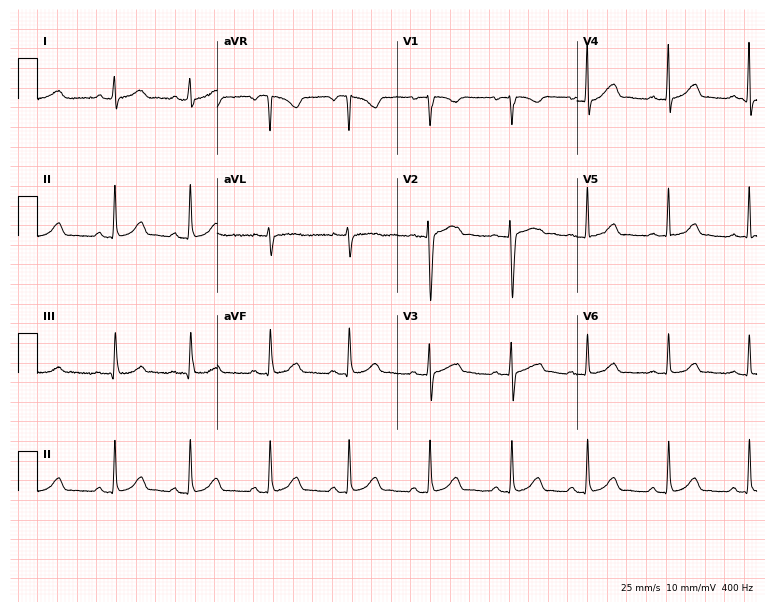
Resting 12-lead electrocardiogram (7.3-second recording at 400 Hz). Patient: a 28-year-old woman. None of these six findings is recorded: first-degree AV block, right bundle branch block (RBBB), left bundle branch block (LBBB), sinus bradycardia, atrial fibrillation (AF), sinus tachycardia. Only these six findings were labelled.